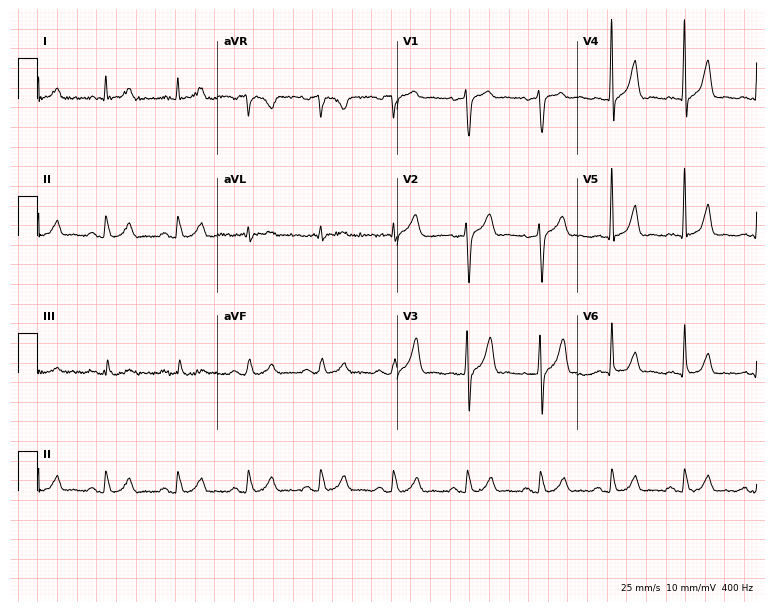
Resting 12-lead electrocardiogram. Patient: a male, 53 years old. None of these six findings is recorded: first-degree AV block, right bundle branch block, left bundle branch block, sinus bradycardia, atrial fibrillation, sinus tachycardia. Findings outside these six are not listed.